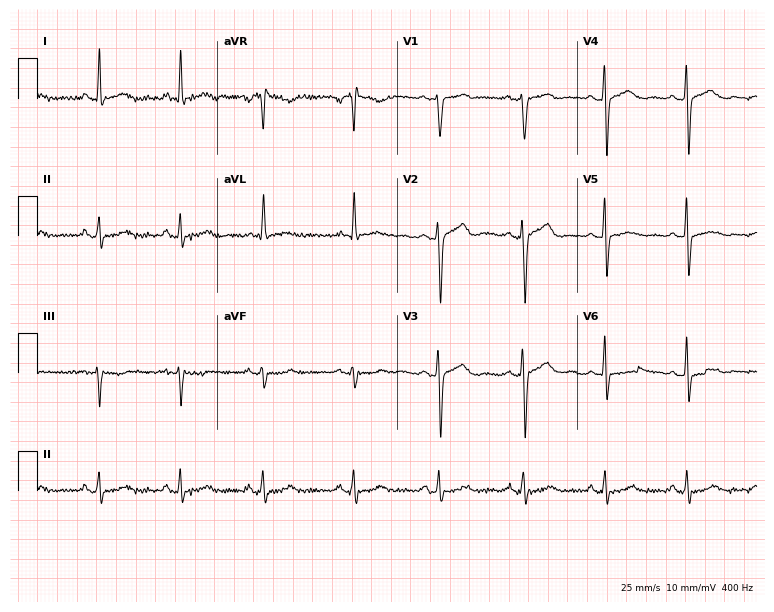
ECG — a 46-year-old man. Screened for six findings — first-degree AV block, right bundle branch block (RBBB), left bundle branch block (LBBB), sinus bradycardia, atrial fibrillation (AF), sinus tachycardia — none is recorded.